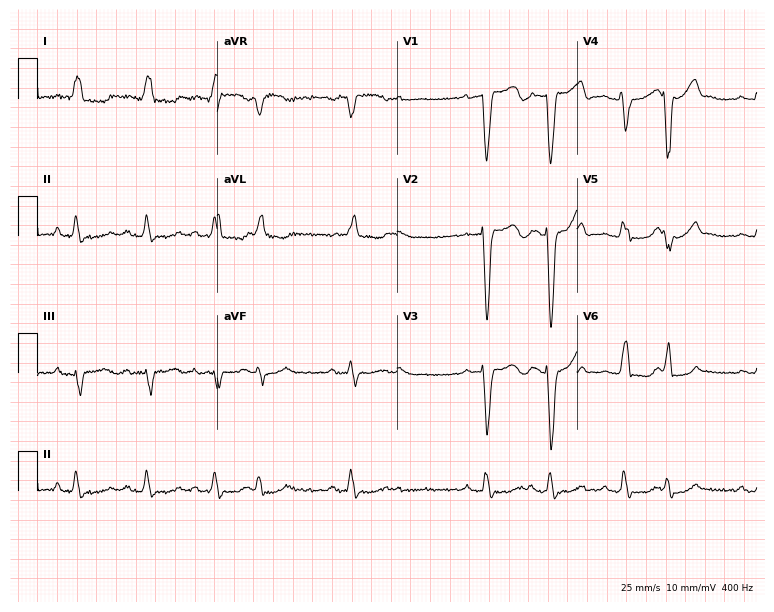
Standard 12-lead ECG recorded from a female, 74 years old. None of these six findings is recorded: first-degree AV block, right bundle branch block, left bundle branch block, sinus bradycardia, atrial fibrillation, sinus tachycardia. Only these six findings were labelled.